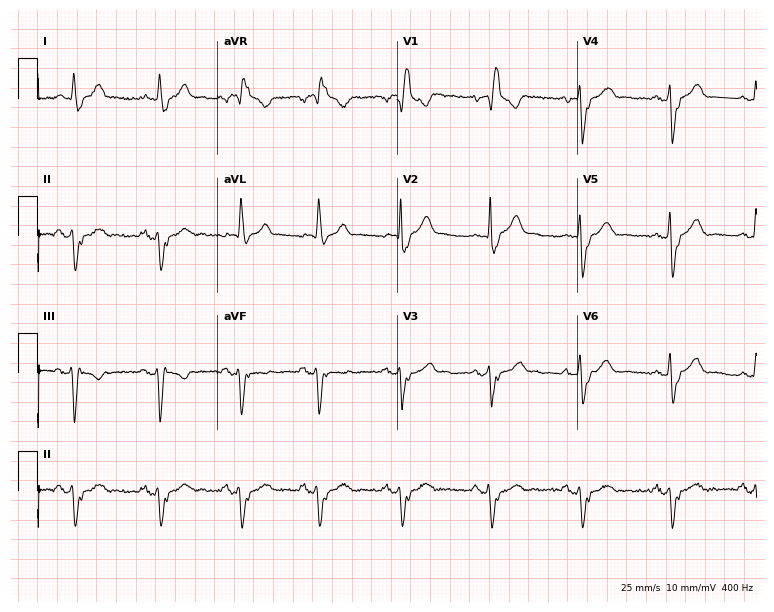
Standard 12-lead ECG recorded from a male patient, 77 years old (7.3-second recording at 400 Hz). The tracing shows right bundle branch block.